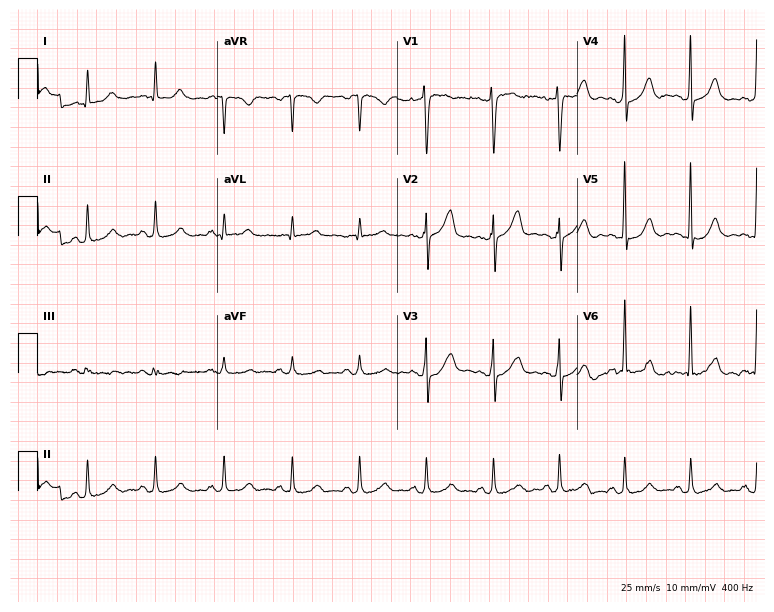
Resting 12-lead electrocardiogram. Patient: a male, 55 years old. None of these six findings is recorded: first-degree AV block, right bundle branch block, left bundle branch block, sinus bradycardia, atrial fibrillation, sinus tachycardia.